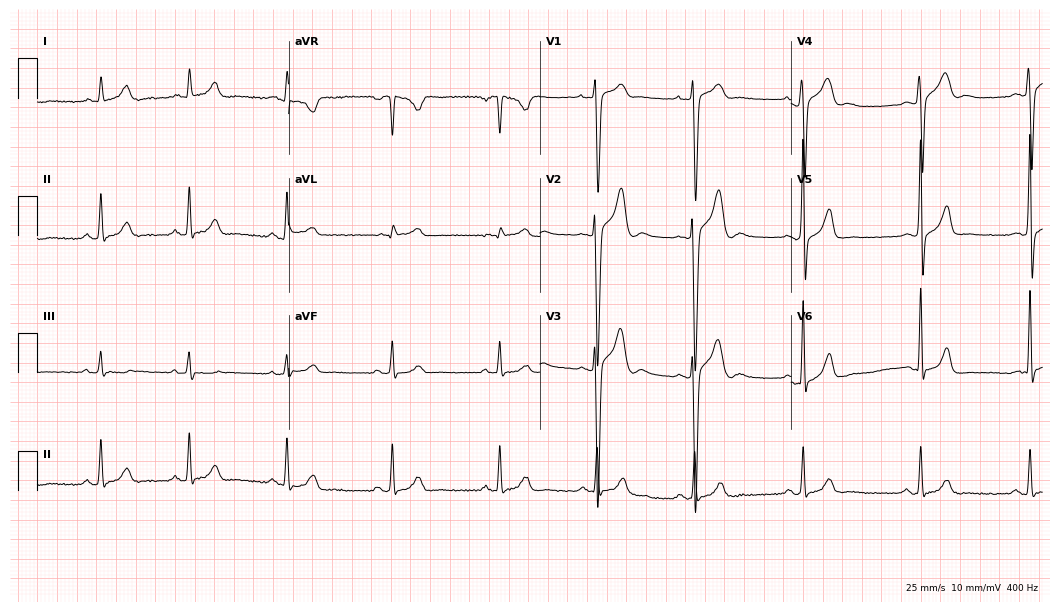
Standard 12-lead ECG recorded from a 21-year-old man (10.2-second recording at 400 Hz). None of these six findings is recorded: first-degree AV block, right bundle branch block (RBBB), left bundle branch block (LBBB), sinus bradycardia, atrial fibrillation (AF), sinus tachycardia. Only these six findings were labelled.